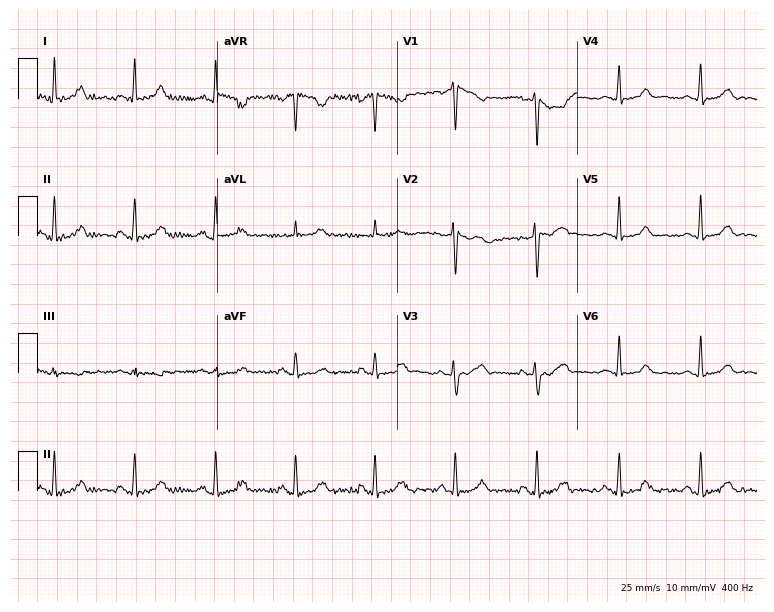
12-lead ECG from a 35-year-old female. No first-degree AV block, right bundle branch block, left bundle branch block, sinus bradycardia, atrial fibrillation or sinus tachycardia recorded for this tracing. Only these six findings were labelled.